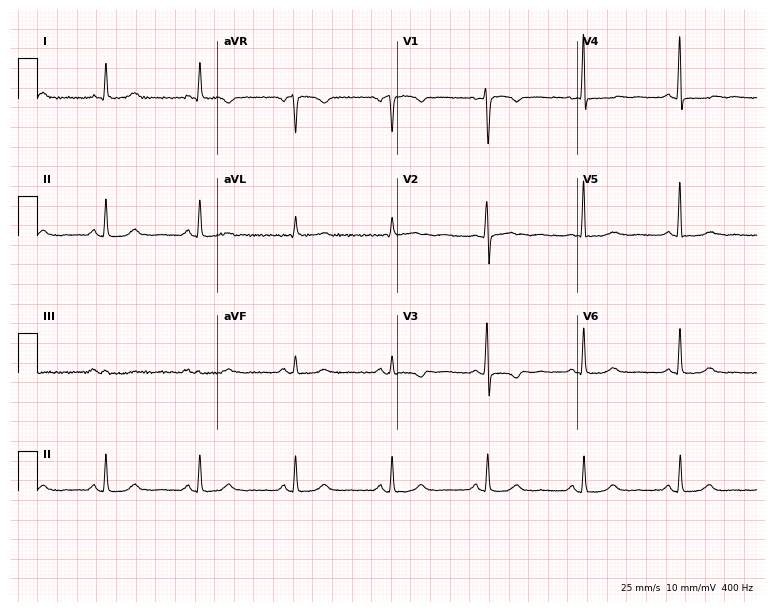
ECG (7.3-second recording at 400 Hz) — a 57-year-old woman. Labelled as a normal ECG.